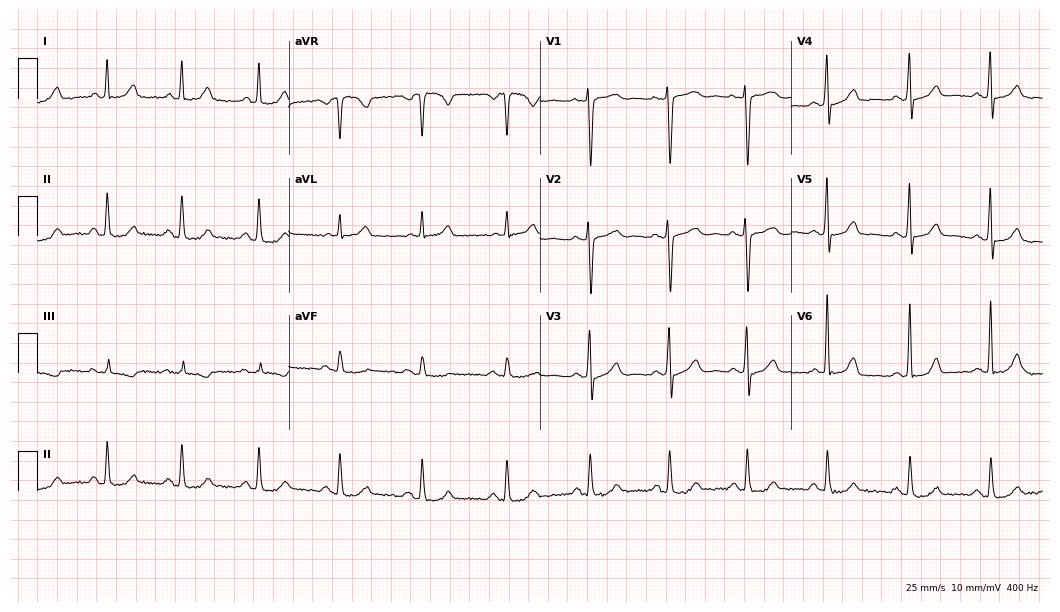
12-lead ECG from a female, 49 years old. No first-degree AV block, right bundle branch block, left bundle branch block, sinus bradycardia, atrial fibrillation or sinus tachycardia recorded for this tracing. Findings outside these six are not listed.